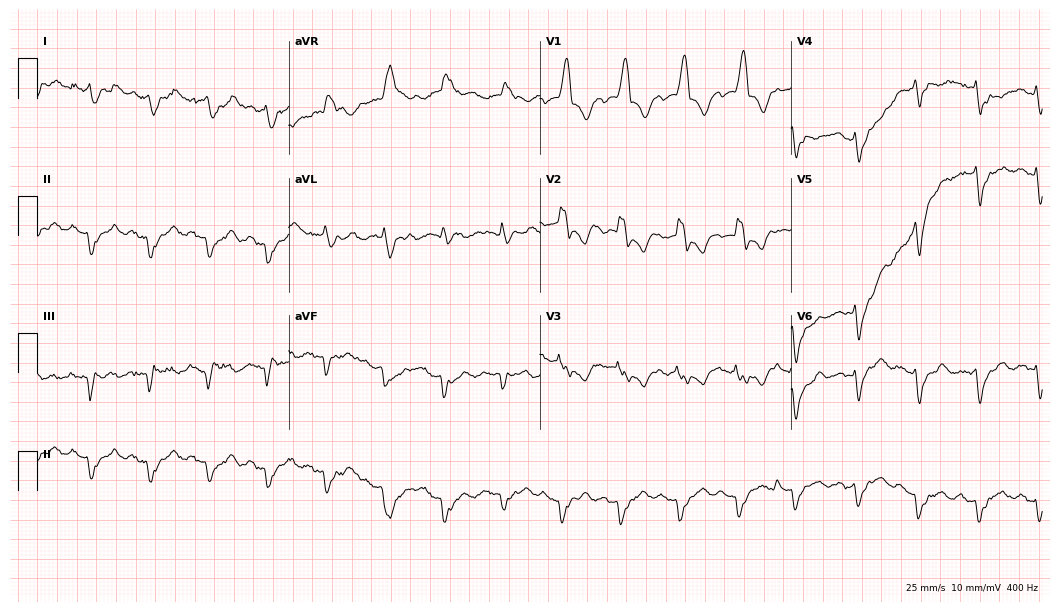
Electrocardiogram, an 81-year-old man. Interpretation includes right bundle branch block.